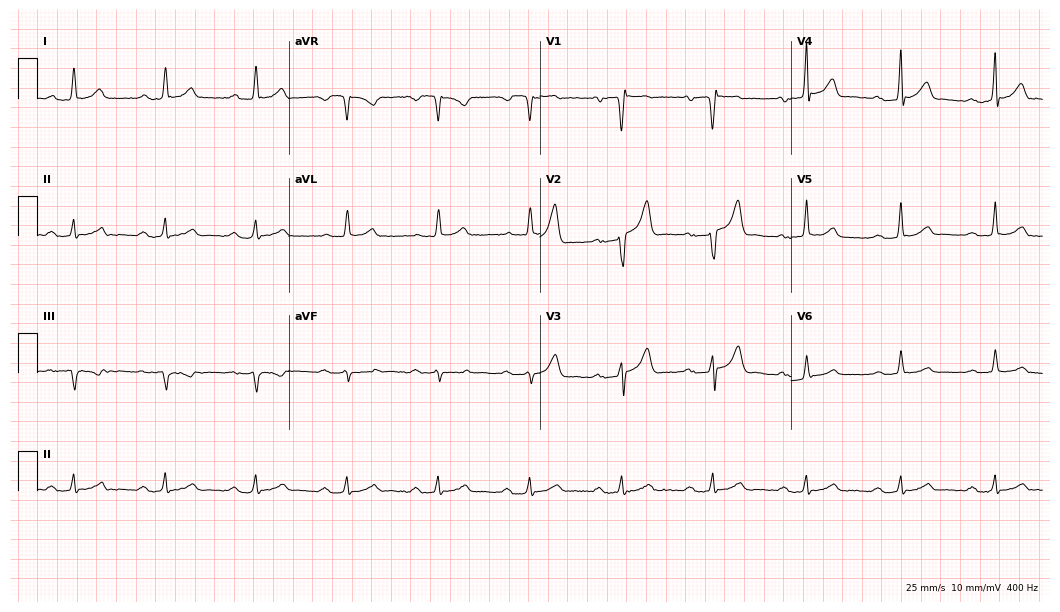
Resting 12-lead electrocardiogram (10.2-second recording at 400 Hz). Patient: a 54-year-old male. The tracing shows first-degree AV block.